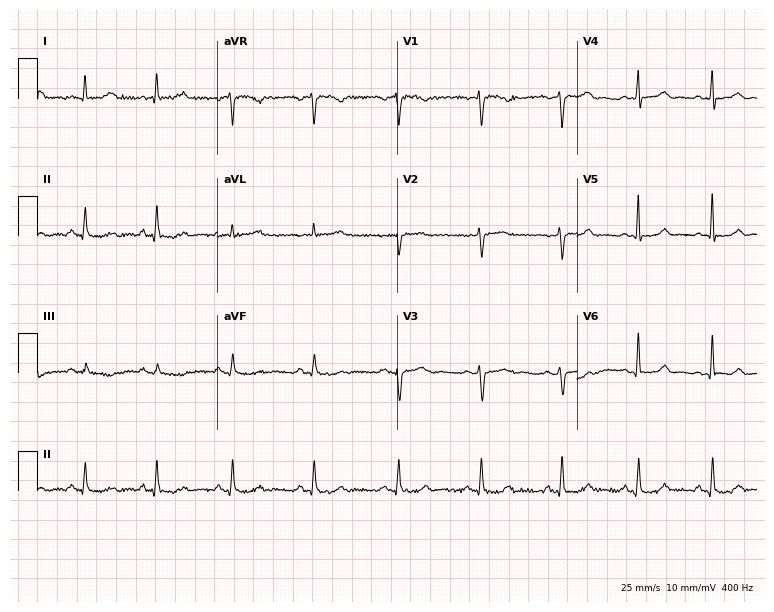
ECG — a female, 45 years old. Screened for six findings — first-degree AV block, right bundle branch block (RBBB), left bundle branch block (LBBB), sinus bradycardia, atrial fibrillation (AF), sinus tachycardia — none is recorded. Only these six findings were labelled.